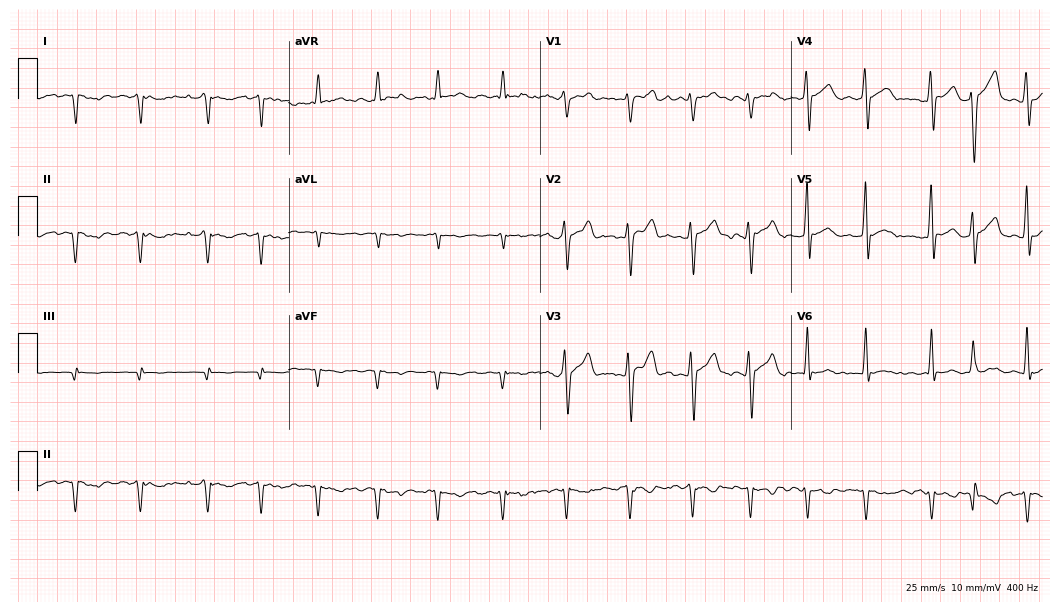
12-lead ECG from a 40-year-old male patient. Shows atrial fibrillation (AF).